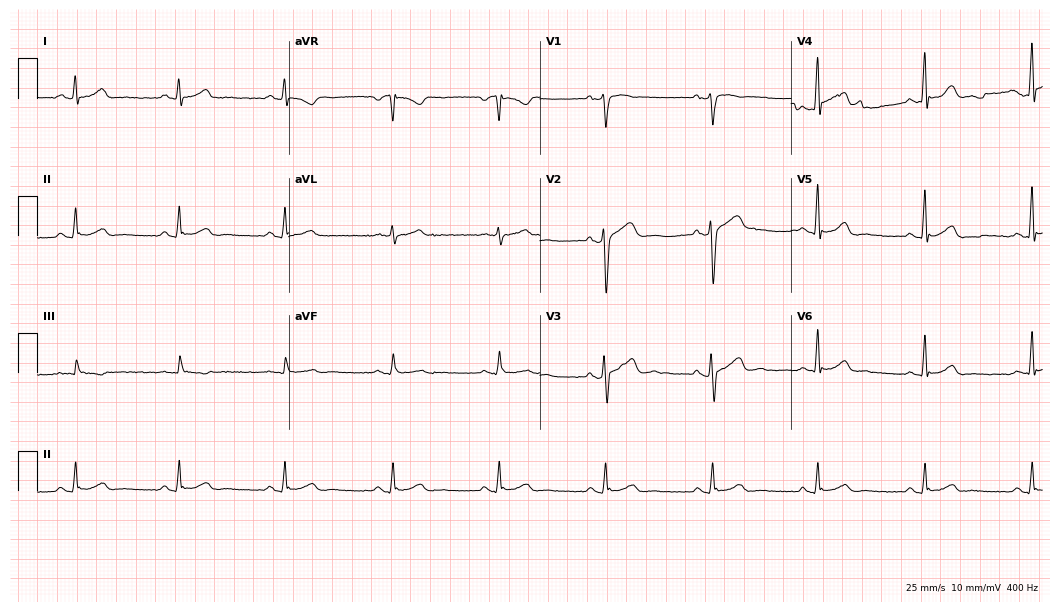
Resting 12-lead electrocardiogram (10.2-second recording at 400 Hz). Patient: a 50-year-old male. None of these six findings is recorded: first-degree AV block, right bundle branch block, left bundle branch block, sinus bradycardia, atrial fibrillation, sinus tachycardia. Only these six findings were labelled.